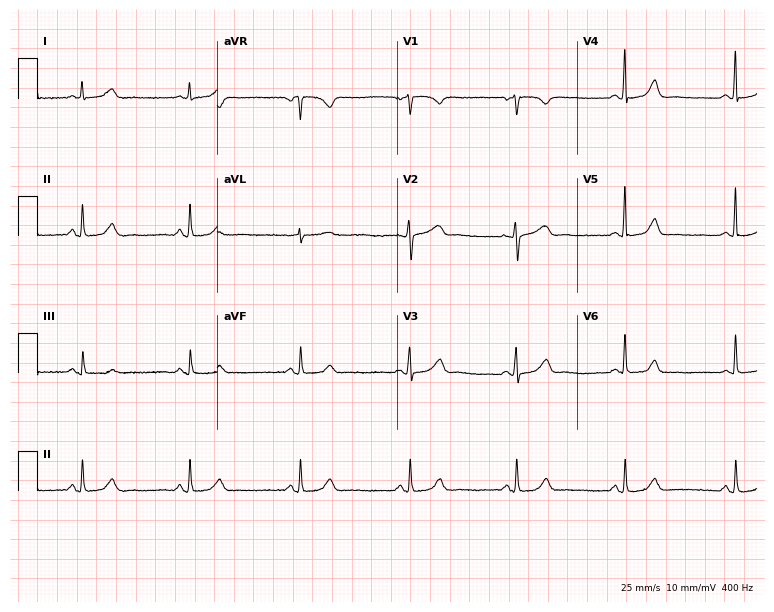
ECG (7.3-second recording at 400 Hz) — a 54-year-old female. Labelled as a normal ECG.